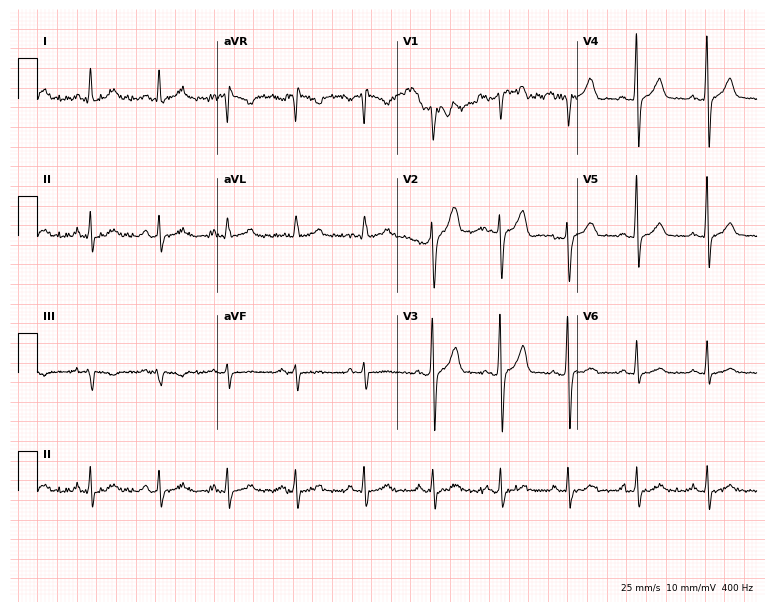
12-lead ECG from a 36-year-old male patient (7.3-second recording at 400 Hz). Recorded interpretation: within normal limits.